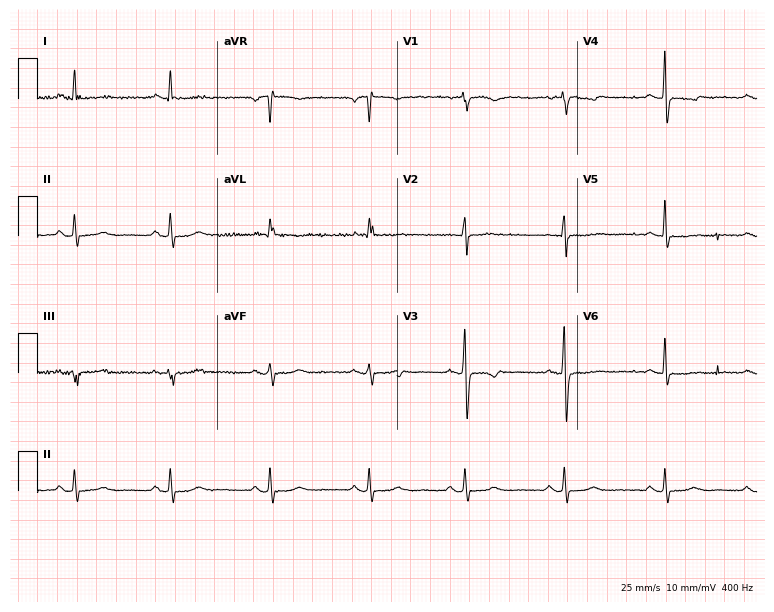
Electrocardiogram, a female patient, 59 years old. Of the six screened findings (first-degree AV block, right bundle branch block, left bundle branch block, sinus bradycardia, atrial fibrillation, sinus tachycardia), none is recorded.